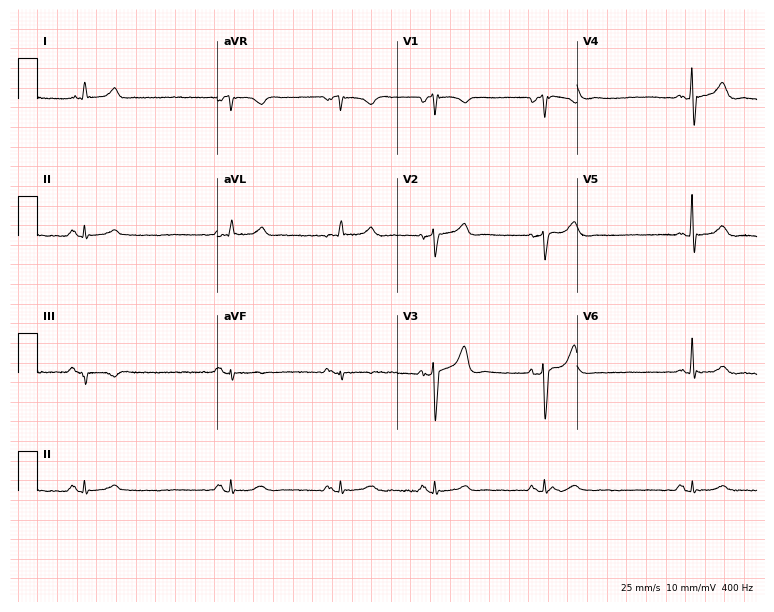
ECG — a male patient, 79 years old. Findings include right bundle branch block, sinus bradycardia (a sinus rate of 50 beats per minute or less).